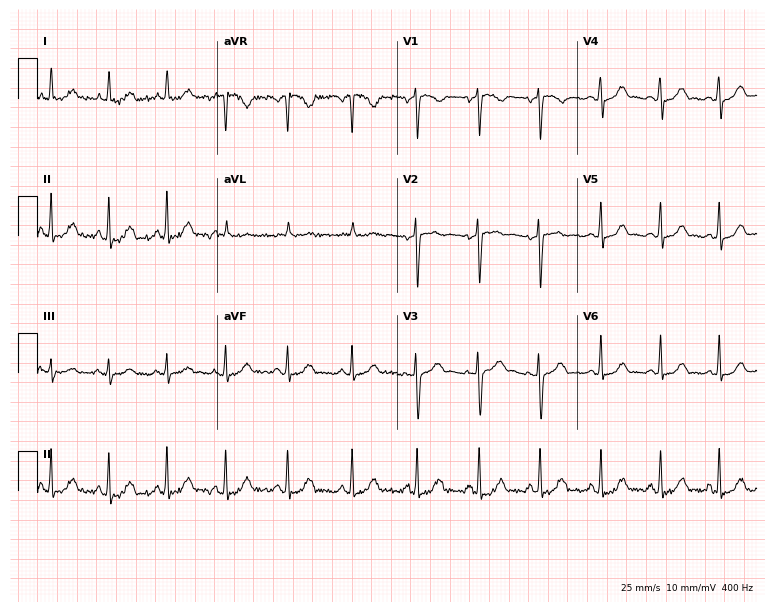
12-lead ECG (7.3-second recording at 400 Hz) from a 30-year-old woman. Labelled as a normal ECG.